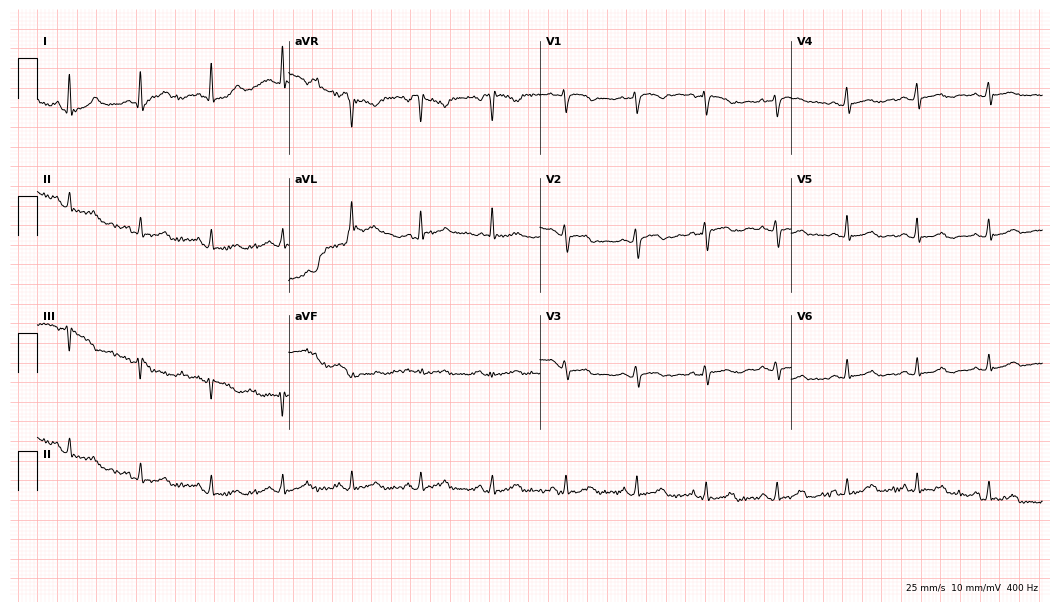
Resting 12-lead electrocardiogram (10.2-second recording at 400 Hz). Patient: a 34-year-old female. None of these six findings is recorded: first-degree AV block, right bundle branch block, left bundle branch block, sinus bradycardia, atrial fibrillation, sinus tachycardia. Only these six findings were labelled.